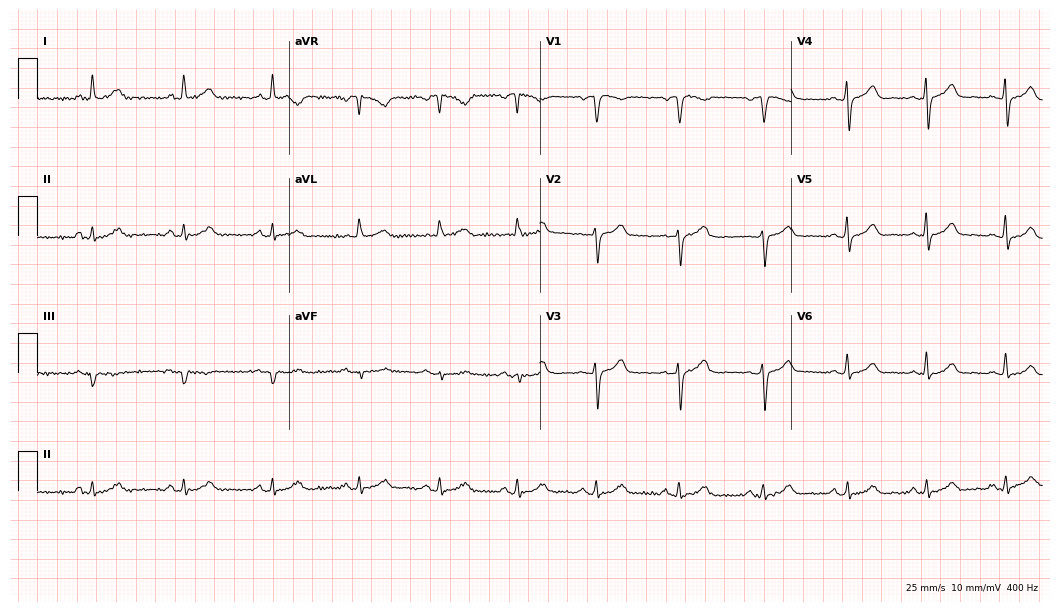
Resting 12-lead electrocardiogram. Patient: a female, 54 years old. Read as a normal ECG.